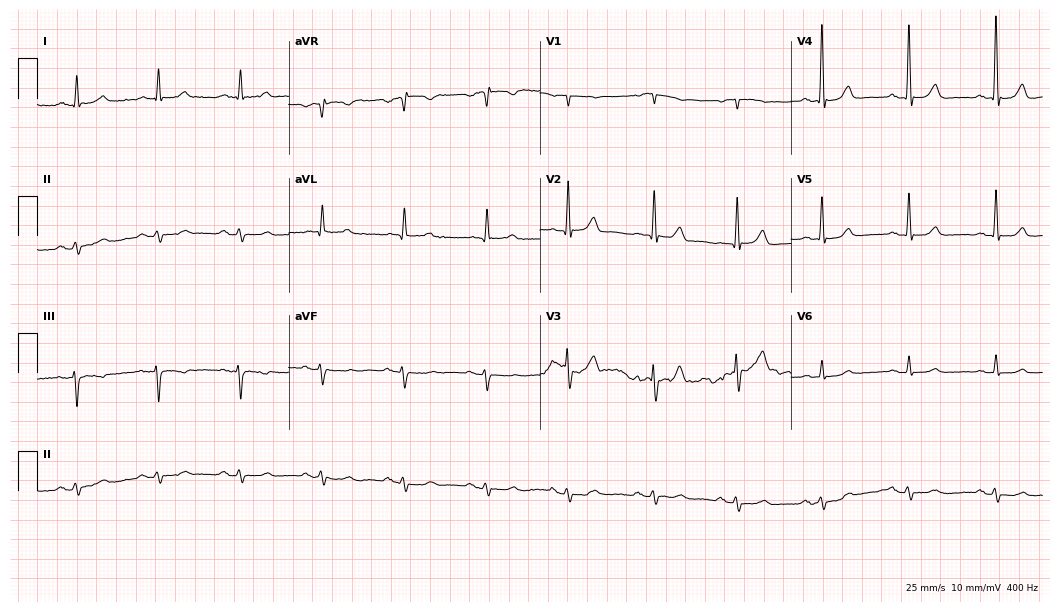
Electrocardiogram, a man, 85 years old. Of the six screened findings (first-degree AV block, right bundle branch block (RBBB), left bundle branch block (LBBB), sinus bradycardia, atrial fibrillation (AF), sinus tachycardia), none is recorded. Other findings, if any, are not listed.